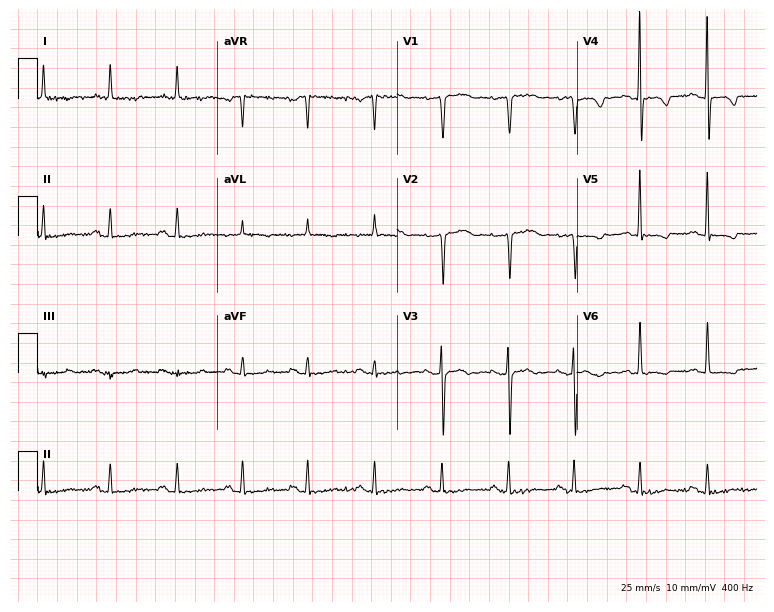
Resting 12-lead electrocardiogram. Patient: a 77-year-old female. Read as a normal ECG.